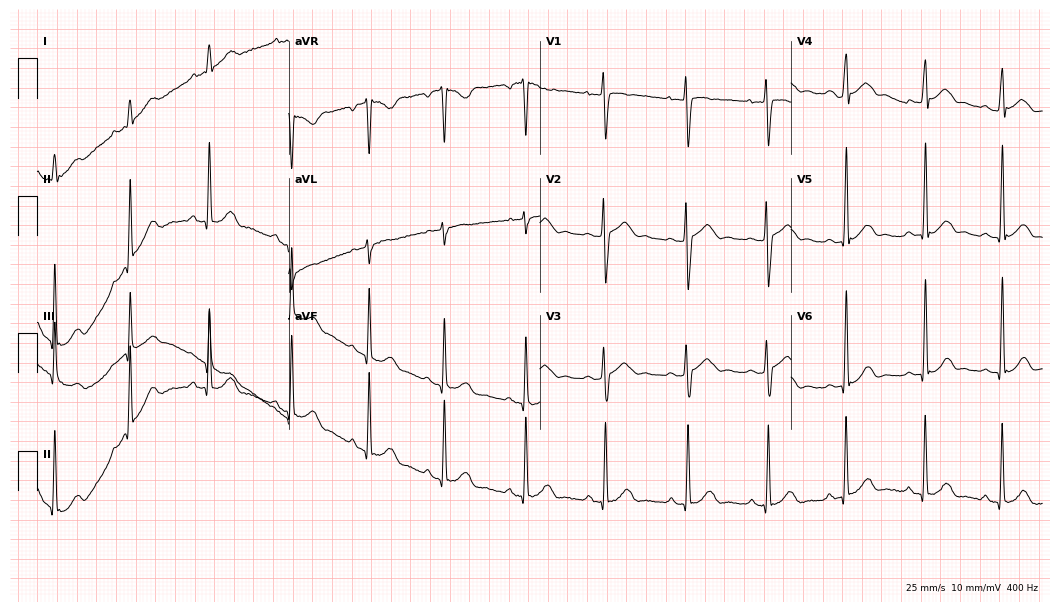
Resting 12-lead electrocardiogram (10.2-second recording at 400 Hz). Patient: a female, 23 years old. None of these six findings is recorded: first-degree AV block, right bundle branch block, left bundle branch block, sinus bradycardia, atrial fibrillation, sinus tachycardia.